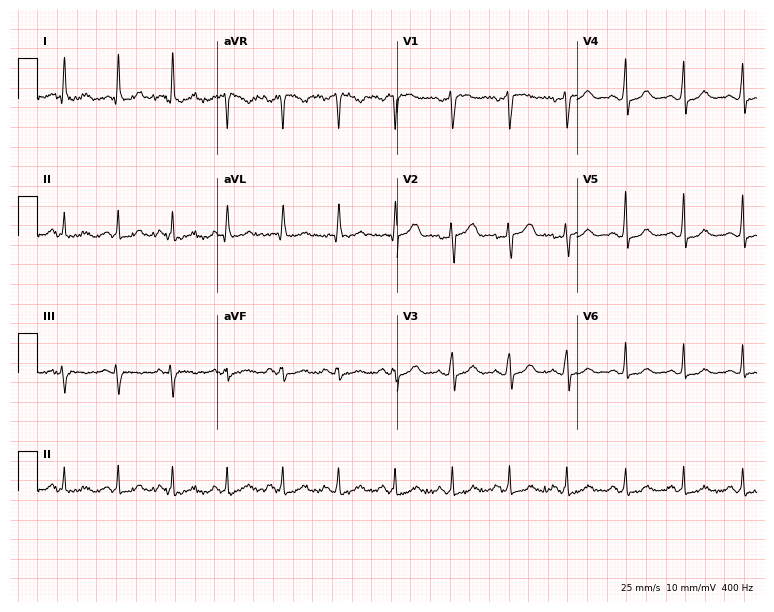
12-lead ECG from a female, 64 years old (7.3-second recording at 400 Hz). No first-degree AV block, right bundle branch block (RBBB), left bundle branch block (LBBB), sinus bradycardia, atrial fibrillation (AF) or sinus tachycardia recorded for this tracing. Other findings, if any, are not listed.